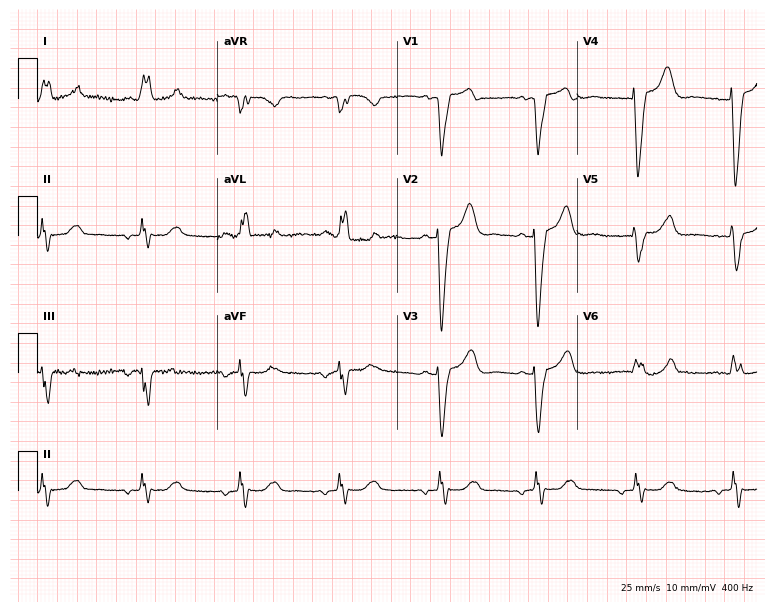
Electrocardiogram, a 52-year-old female. Interpretation includes left bundle branch block.